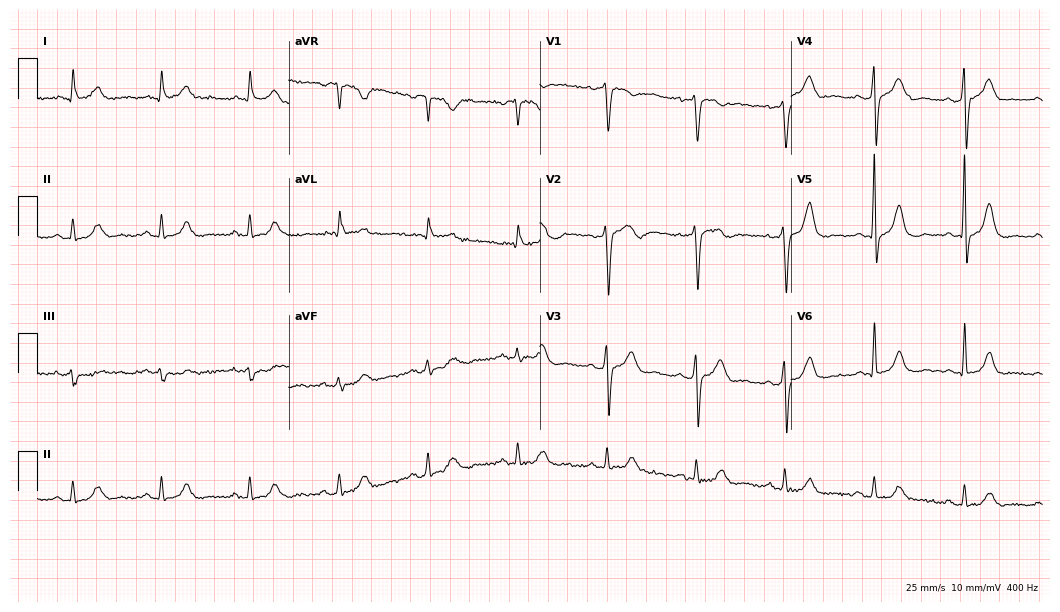
12-lead ECG from a male patient, 76 years old. Labelled as a normal ECG.